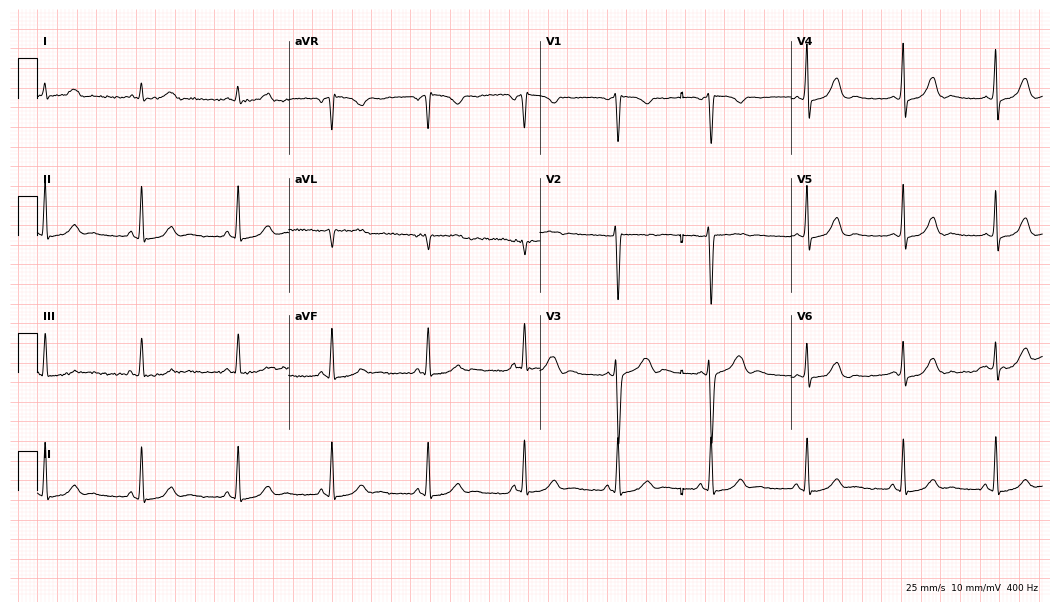
12-lead ECG from a 25-year-old female patient. No first-degree AV block, right bundle branch block, left bundle branch block, sinus bradycardia, atrial fibrillation or sinus tachycardia recorded for this tracing.